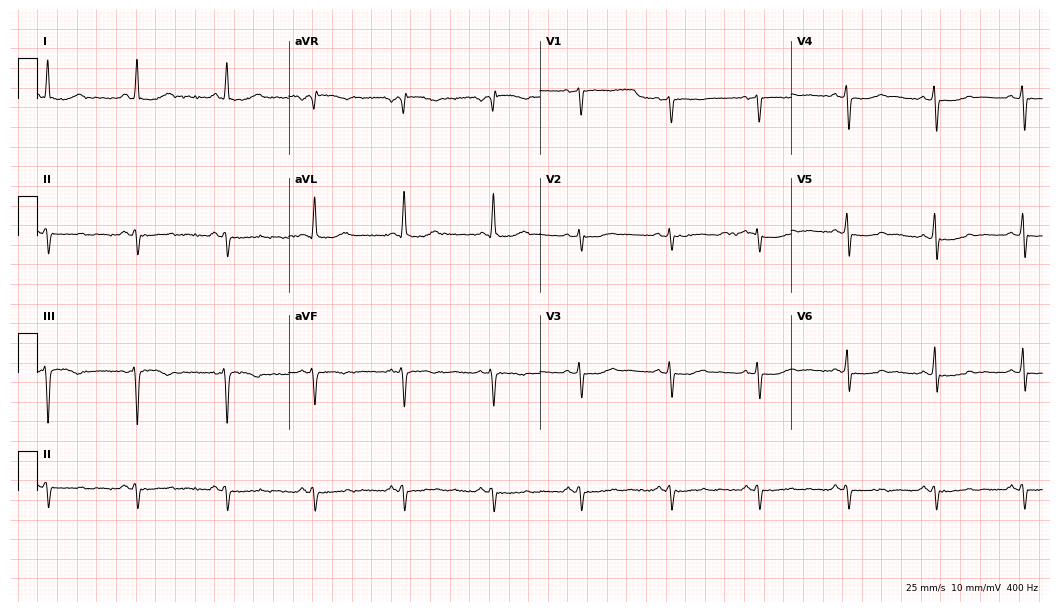
Standard 12-lead ECG recorded from a 49-year-old woman (10.2-second recording at 400 Hz). None of these six findings is recorded: first-degree AV block, right bundle branch block, left bundle branch block, sinus bradycardia, atrial fibrillation, sinus tachycardia.